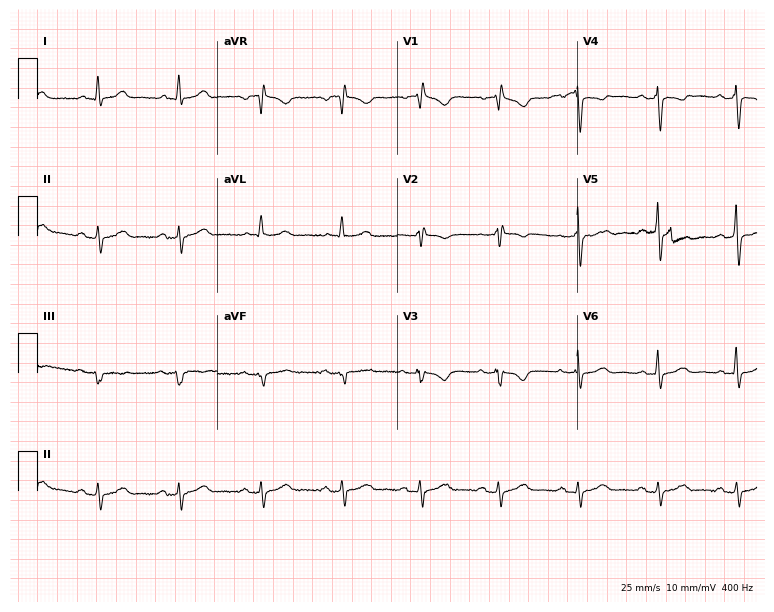
Standard 12-lead ECG recorded from a 56-year-old female patient. None of these six findings is recorded: first-degree AV block, right bundle branch block (RBBB), left bundle branch block (LBBB), sinus bradycardia, atrial fibrillation (AF), sinus tachycardia. Other findings, if any, are not listed.